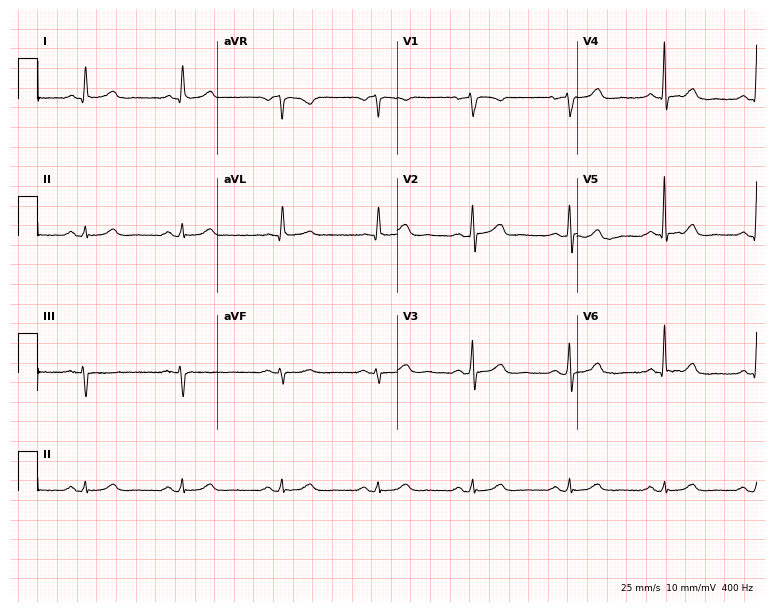
Resting 12-lead electrocardiogram (7.3-second recording at 400 Hz). Patient: an 83-year-old female. Read as a normal ECG.